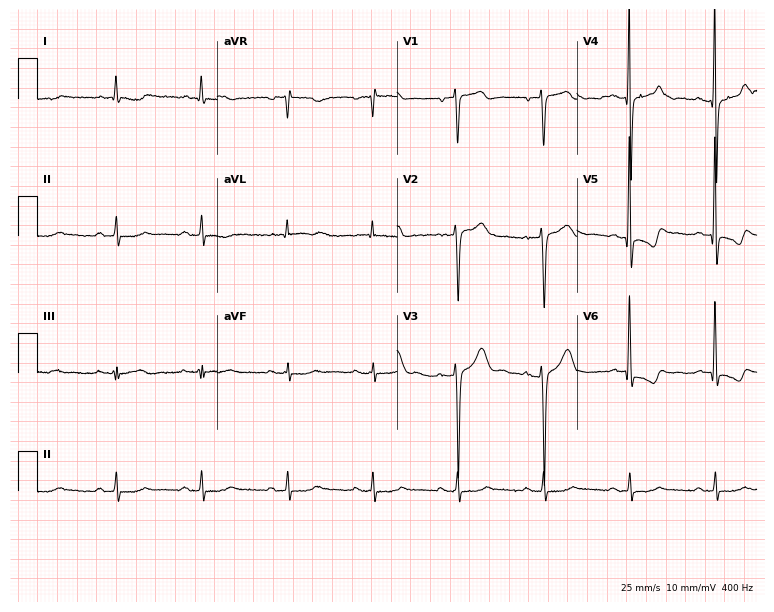
Electrocardiogram (7.3-second recording at 400 Hz), a 67-year-old male patient. Of the six screened findings (first-degree AV block, right bundle branch block (RBBB), left bundle branch block (LBBB), sinus bradycardia, atrial fibrillation (AF), sinus tachycardia), none is recorded. Findings outside these six are not listed.